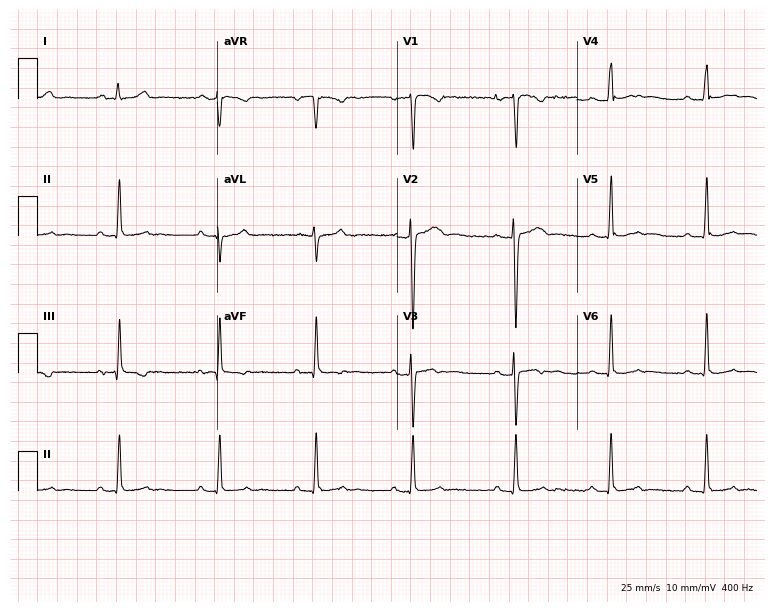
12-lead ECG from a female patient, 20 years old (7.3-second recording at 400 Hz). No first-degree AV block, right bundle branch block (RBBB), left bundle branch block (LBBB), sinus bradycardia, atrial fibrillation (AF) or sinus tachycardia recorded for this tracing.